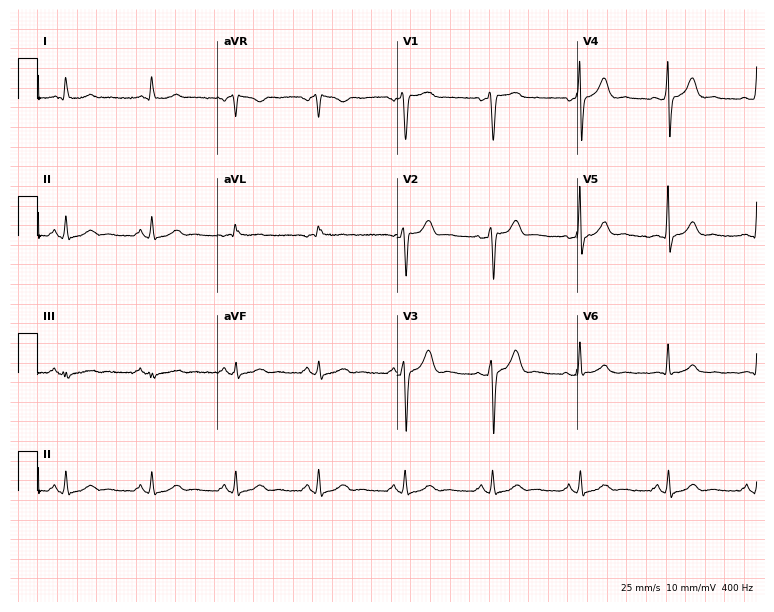
ECG (7.3-second recording at 400 Hz) — a male patient, 43 years old. Labelled as a normal ECG.